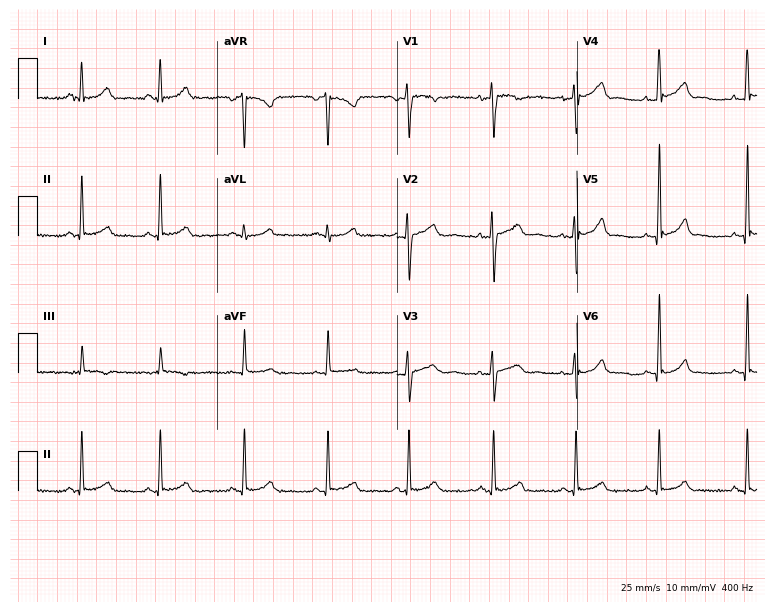
12-lead ECG (7.3-second recording at 400 Hz) from a 31-year-old woman. Labelled as a normal ECG.